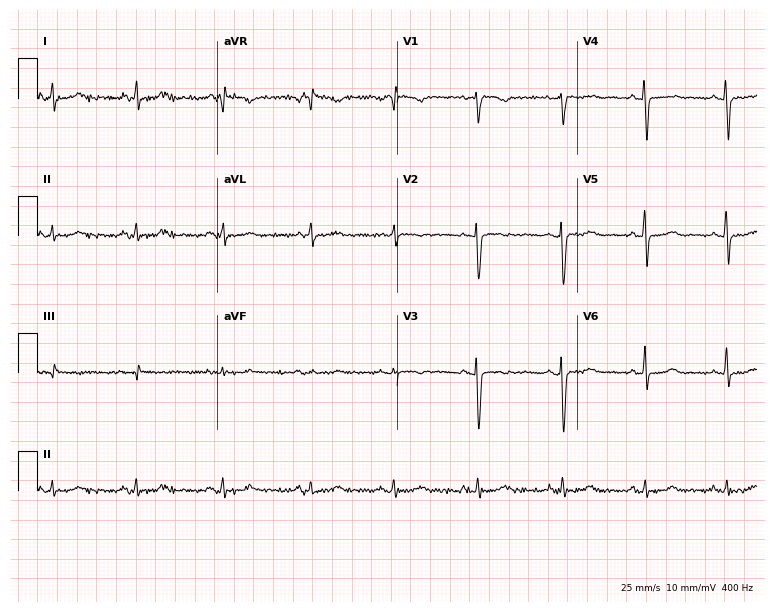
12-lead ECG from a female patient, 41 years old. Labelled as a normal ECG.